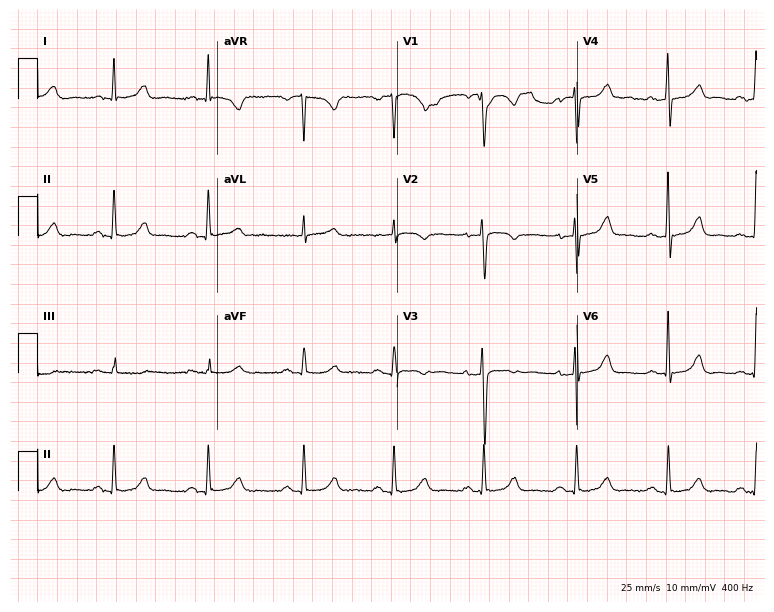
Electrocardiogram (7.3-second recording at 400 Hz), a woman, 32 years old. Overall reading on record: normal ECG.